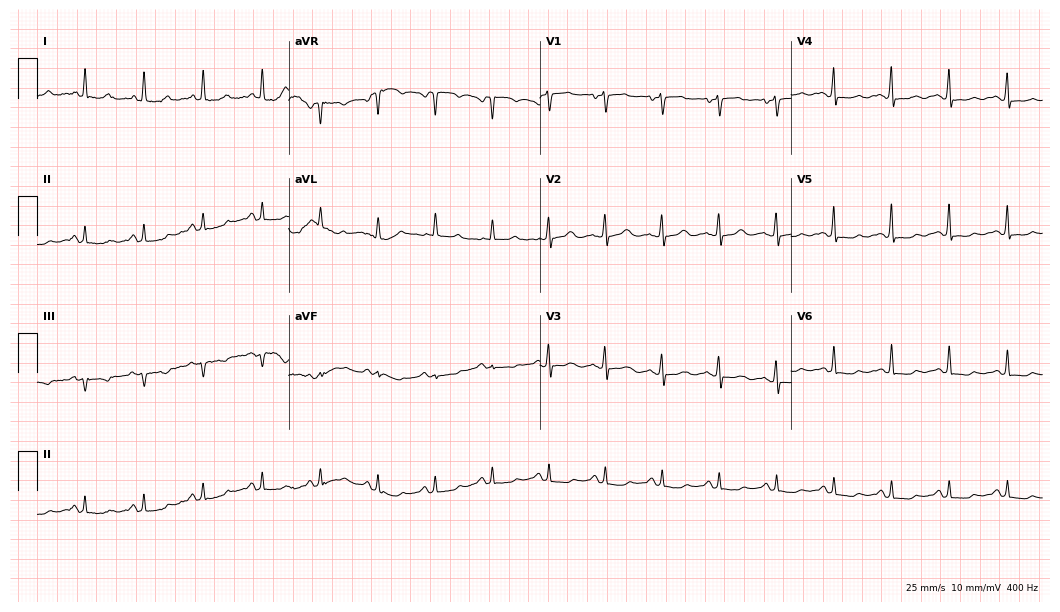
ECG — a 69-year-old female patient. Findings include sinus tachycardia (a sinus rate of 100 beats per minute or more).